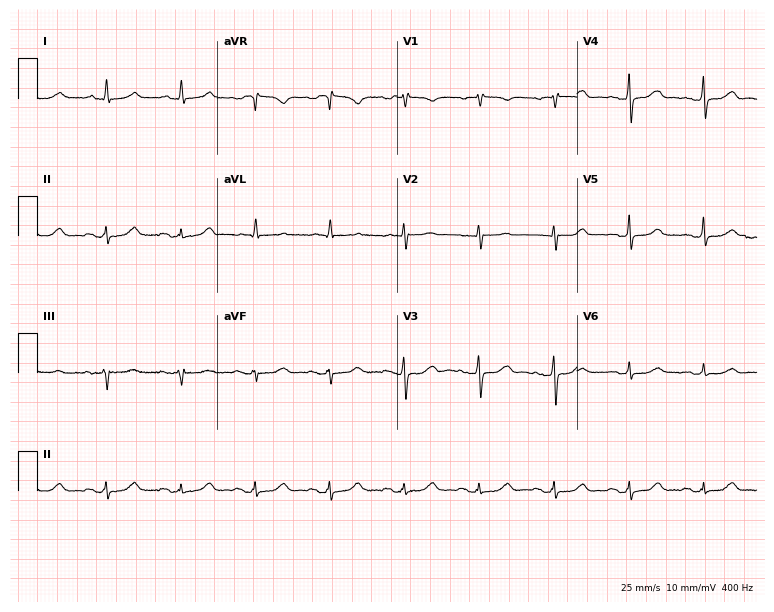
Electrocardiogram (7.3-second recording at 400 Hz), a female, 72 years old. Of the six screened findings (first-degree AV block, right bundle branch block, left bundle branch block, sinus bradycardia, atrial fibrillation, sinus tachycardia), none is recorded.